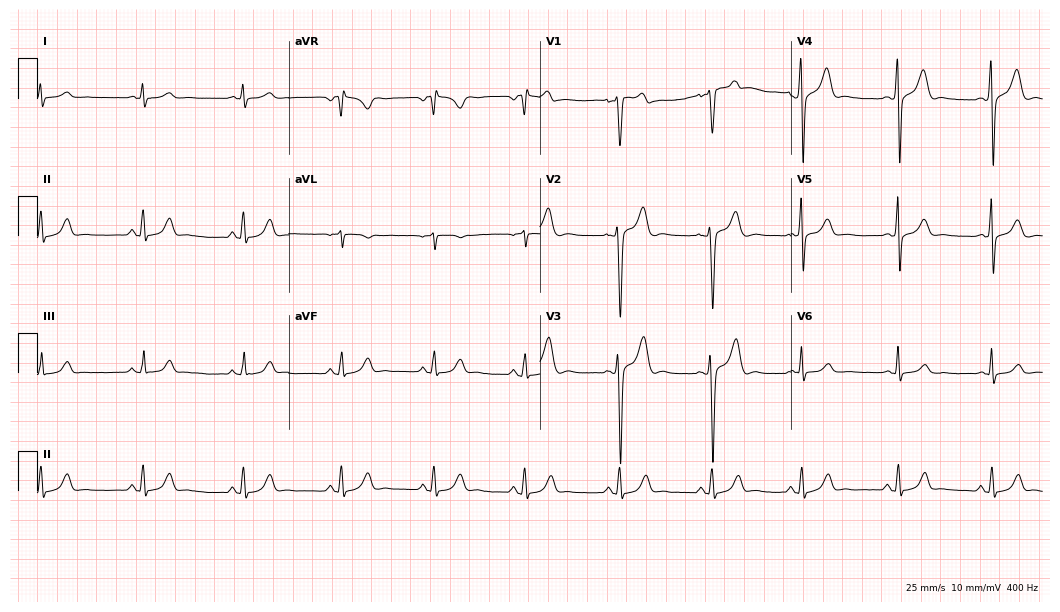
ECG — a male, 18 years old. Labelled as a normal ECG.